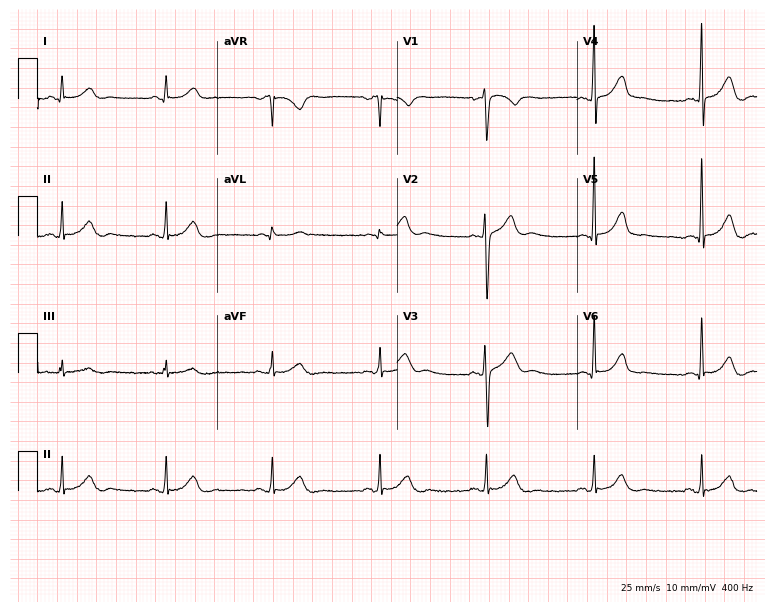
12-lead ECG from a 45-year-old male (7.3-second recording at 400 Hz). Recorded interpretation: within normal limits.